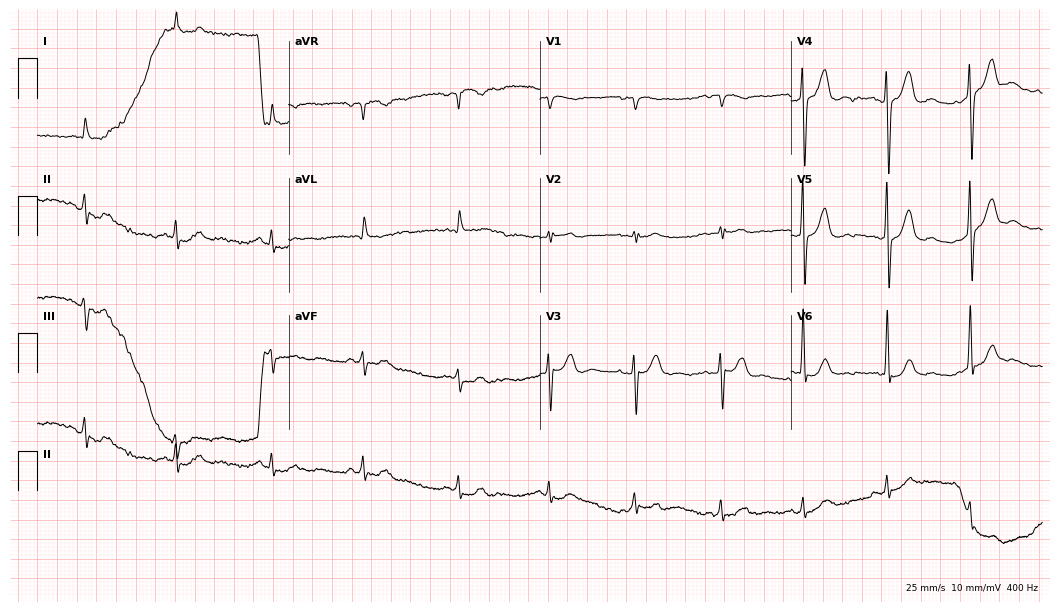
Electrocardiogram (10.2-second recording at 400 Hz), a 73-year-old male. Of the six screened findings (first-degree AV block, right bundle branch block, left bundle branch block, sinus bradycardia, atrial fibrillation, sinus tachycardia), none is recorded.